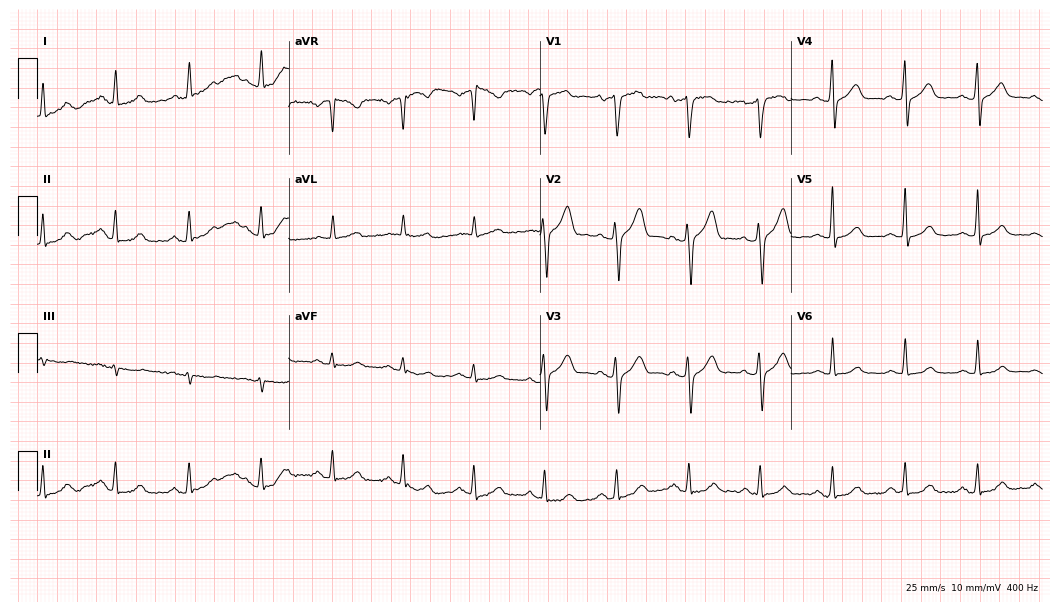
12-lead ECG from a man, 48 years old. Labelled as a normal ECG.